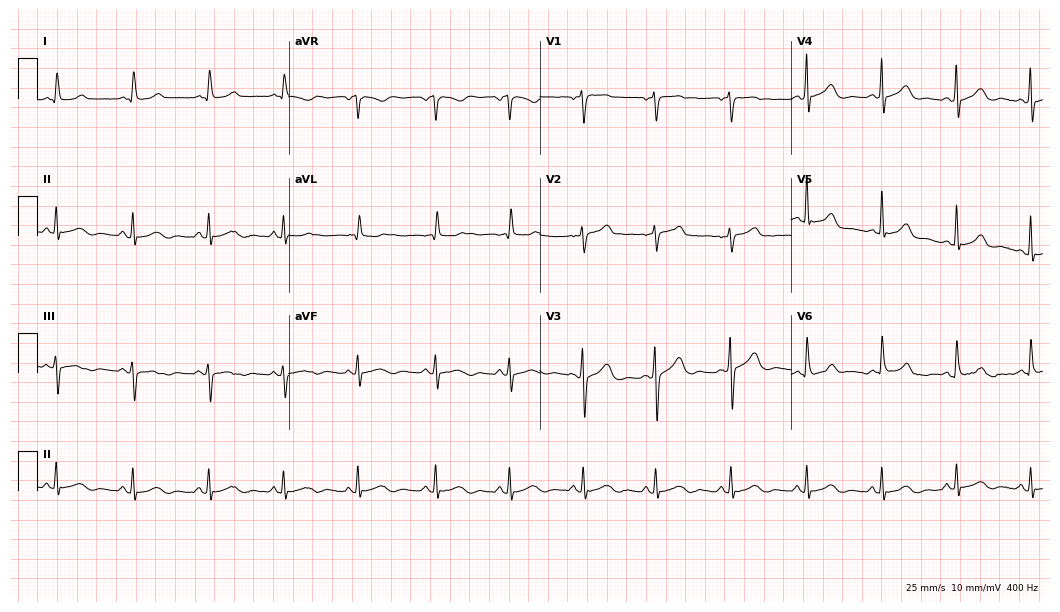
ECG — a female patient, 46 years old. Labelled as a normal ECG.